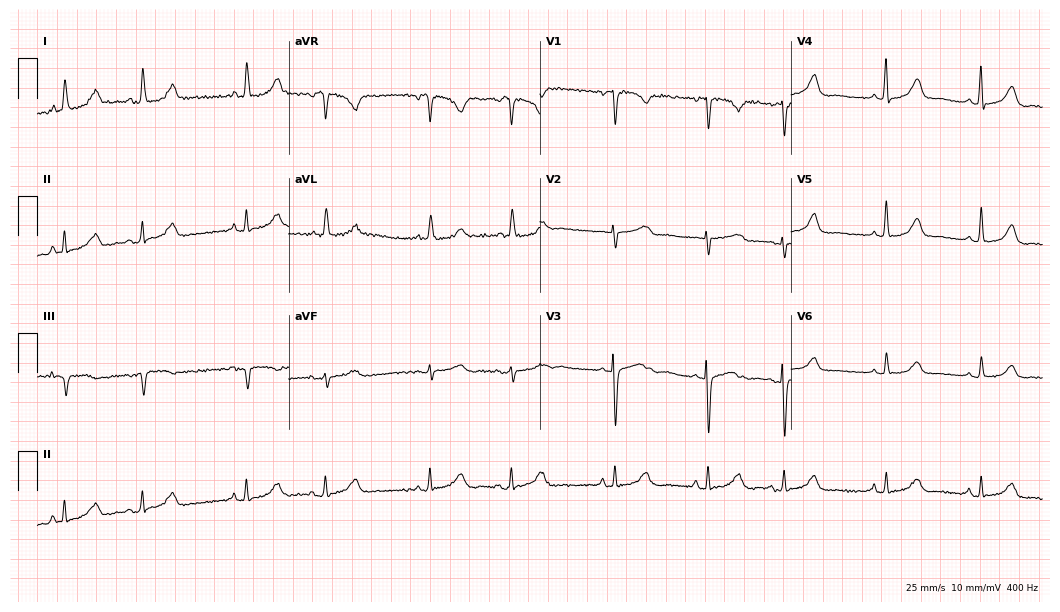
Electrocardiogram (10.2-second recording at 400 Hz), a female patient, 68 years old. Overall reading on record: normal ECG.